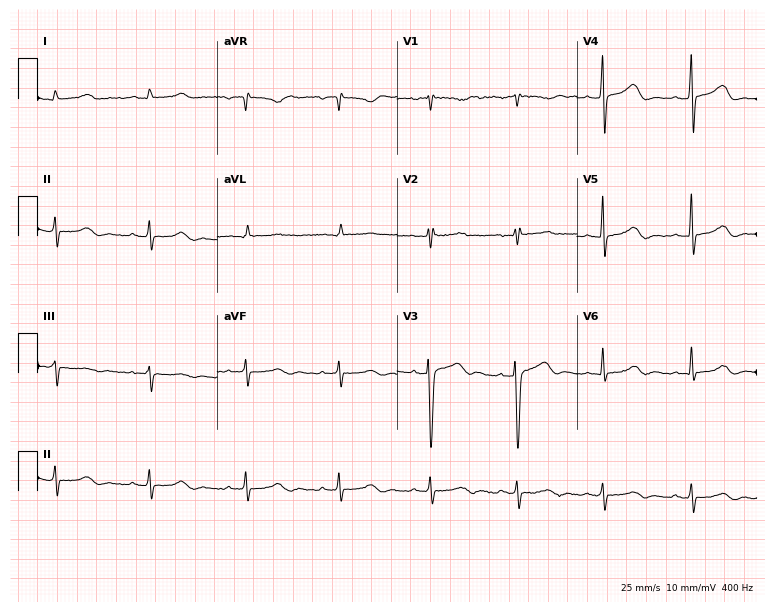
Standard 12-lead ECG recorded from a female, 25 years old. None of these six findings is recorded: first-degree AV block, right bundle branch block, left bundle branch block, sinus bradycardia, atrial fibrillation, sinus tachycardia. Findings outside these six are not listed.